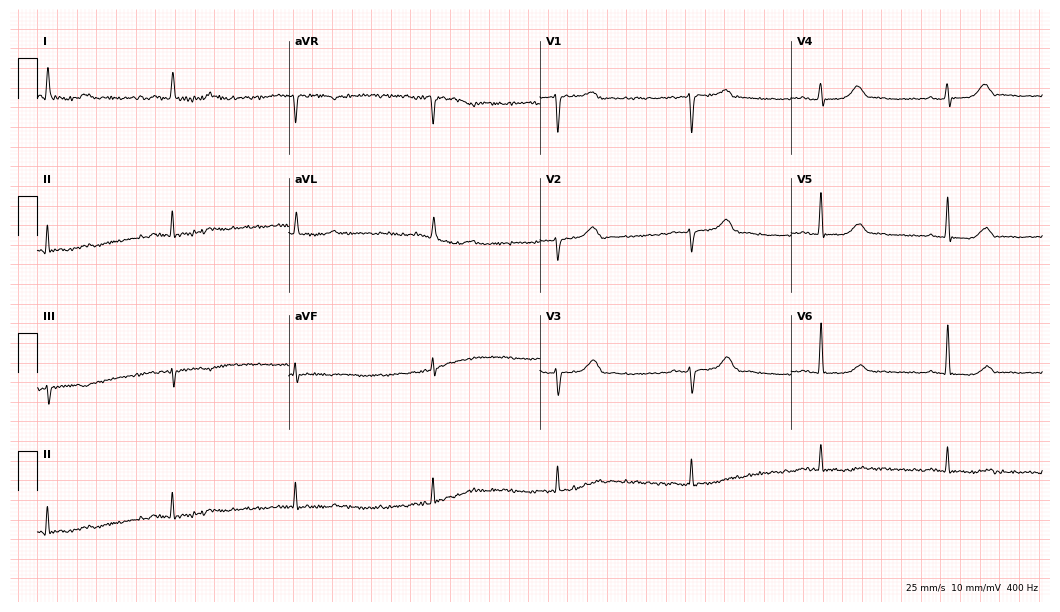
12-lead ECG from a female, 71 years old (10.2-second recording at 400 Hz). Shows sinus bradycardia (a sinus rate of 50 beats per minute or less).